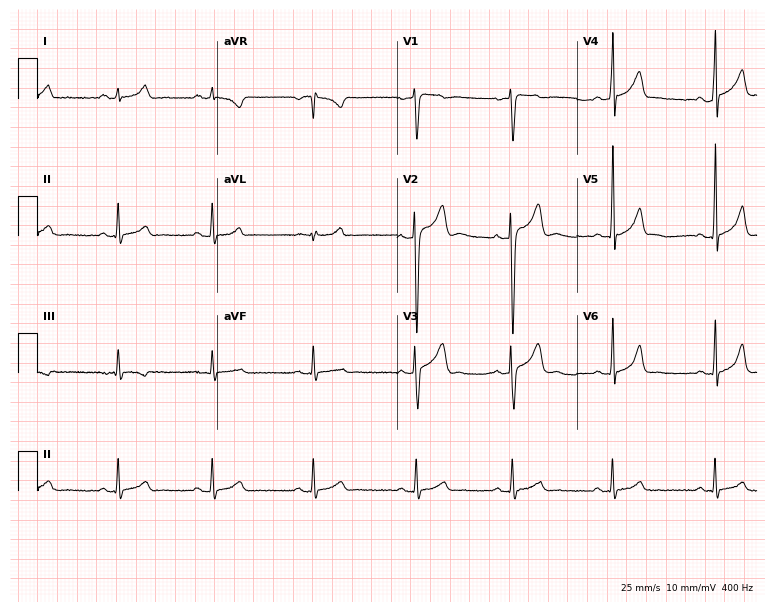
Electrocardiogram, a 21-year-old male. Overall reading on record: normal ECG.